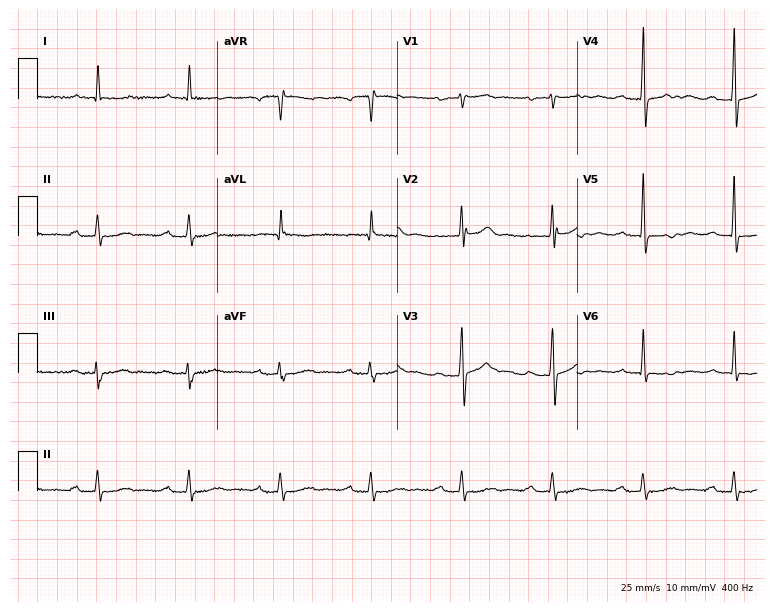
Electrocardiogram (7.3-second recording at 400 Hz), an 84-year-old man. Interpretation includes first-degree AV block.